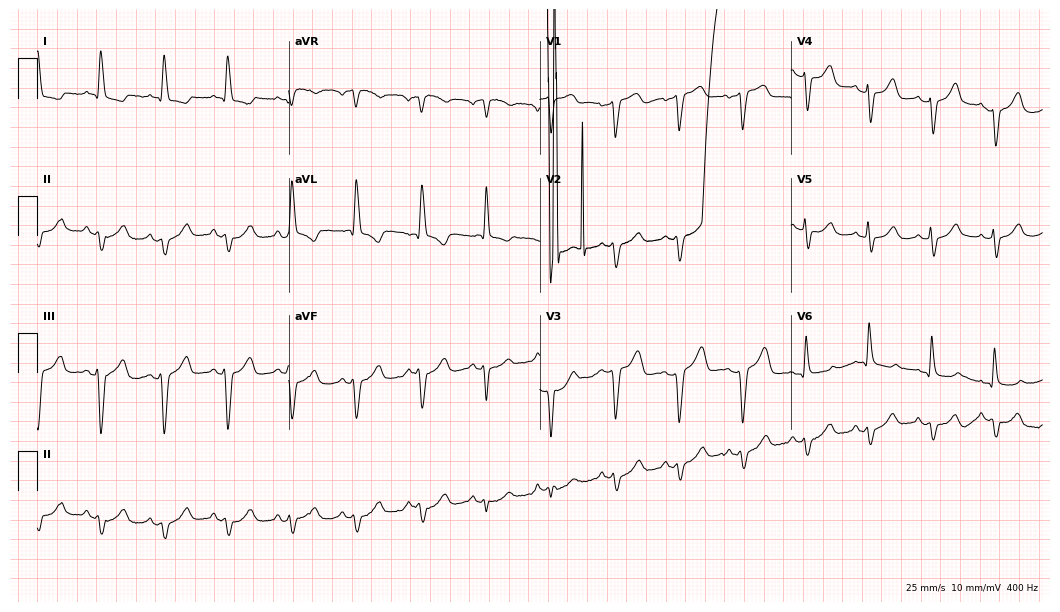
Resting 12-lead electrocardiogram. Patient: a female, 77 years old. None of these six findings is recorded: first-degree AV block, right bundle branch block (RBBB), left bundle branch block (LBBB), sinus bradycardia, atrial fibrillation (AF), sinus tachycardia. Other findings, if any, are not listed.